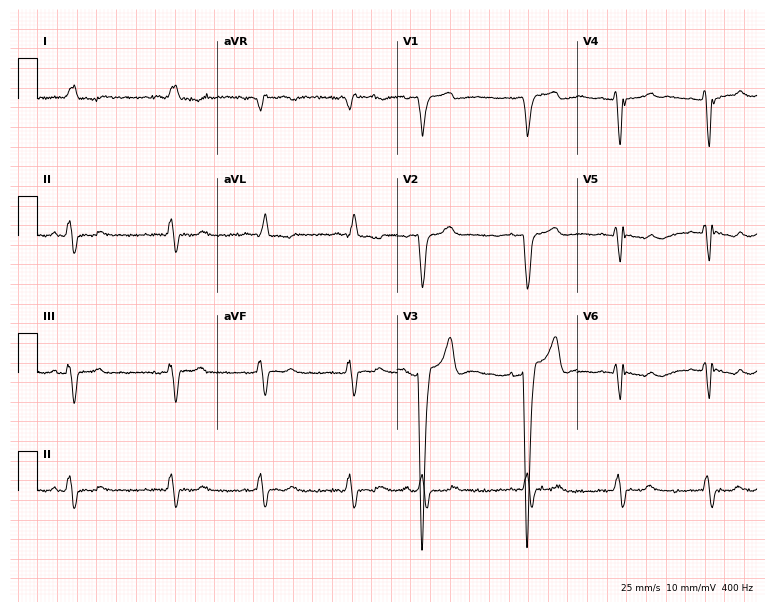
12-lead ECG from an 81-year-old female patient. Findings include left bundle branch block, atrial fibrillation.